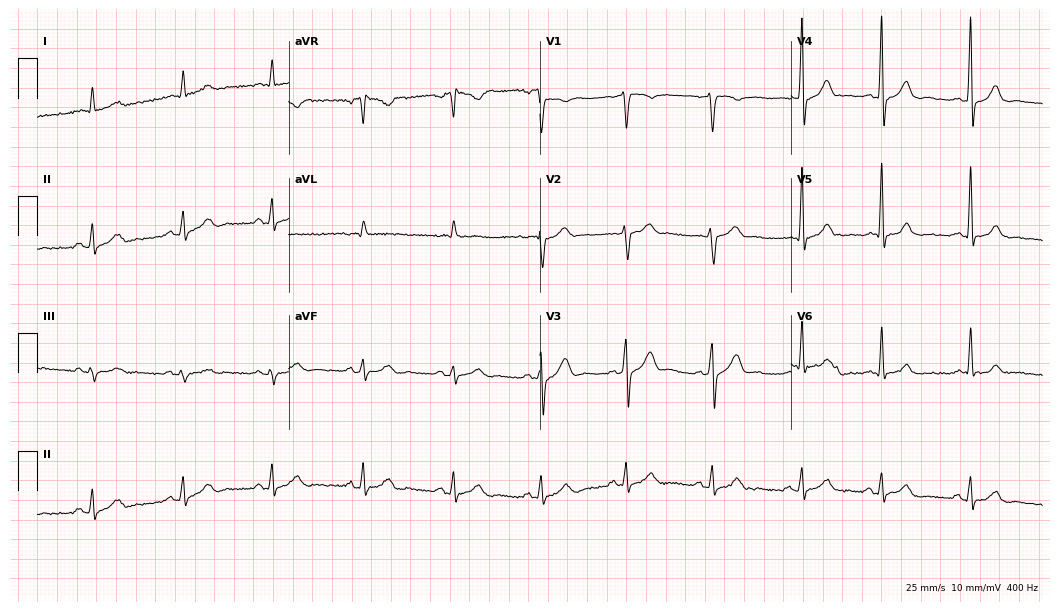
Electrocardiogram (10.2-second recording at 400 Hz), a 49-year-old male patient. Overall reading on record: normal ECG.